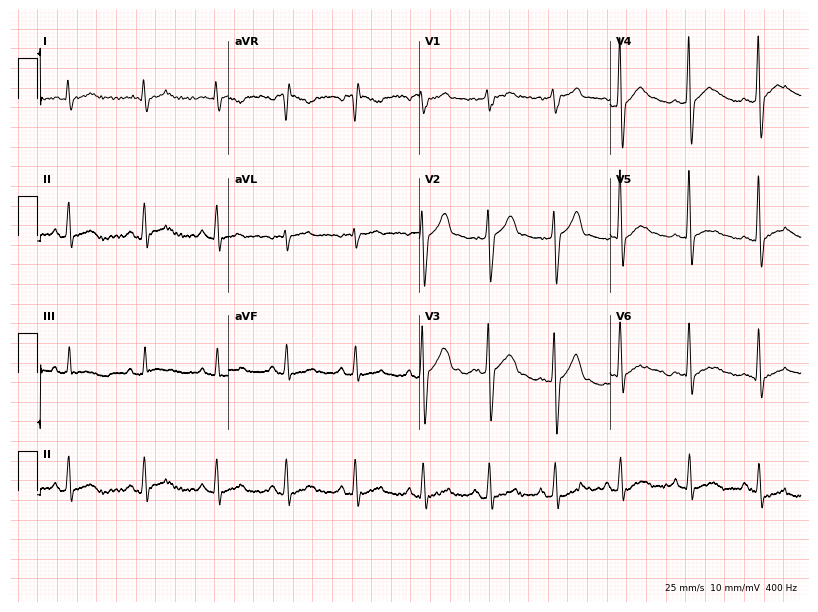
Standard 12-lead ECG recorded from a 40-year-old male. Read as a normal ECG.